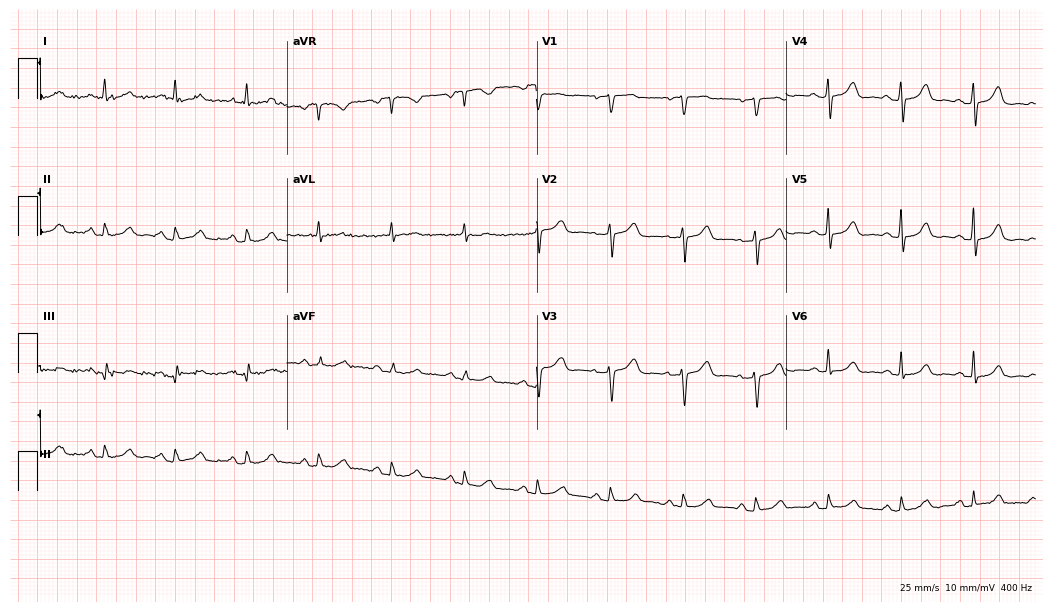
ECG (10.2-second recording at 400 Hz) — a 59-year-old female. Labelled as a normal ECG.